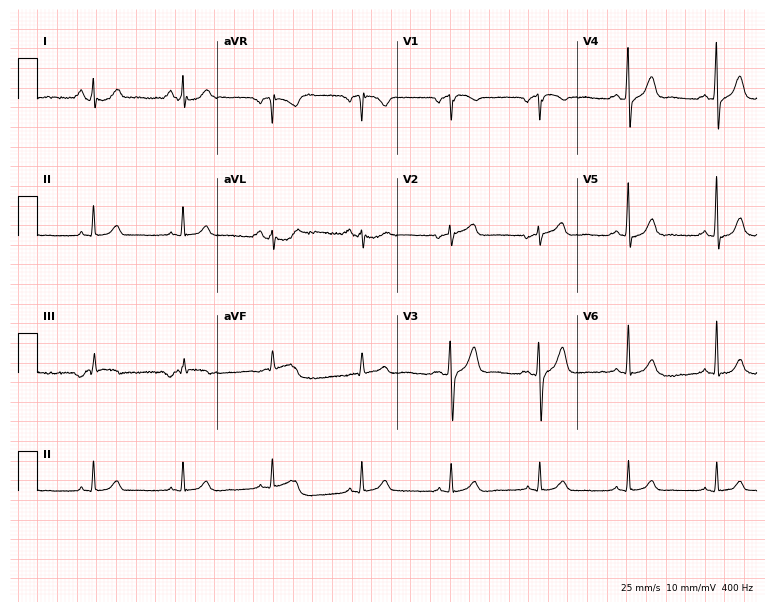
Electrocardiogram (7.3-second recording at 400 Hz), a man, 73 years old. Of the six screened findings (first-degree AV block, right bundle branch block, left bundle branch block, sinus bradycardia, atrial fibrillation, sinus tachycardia), none is recorded.